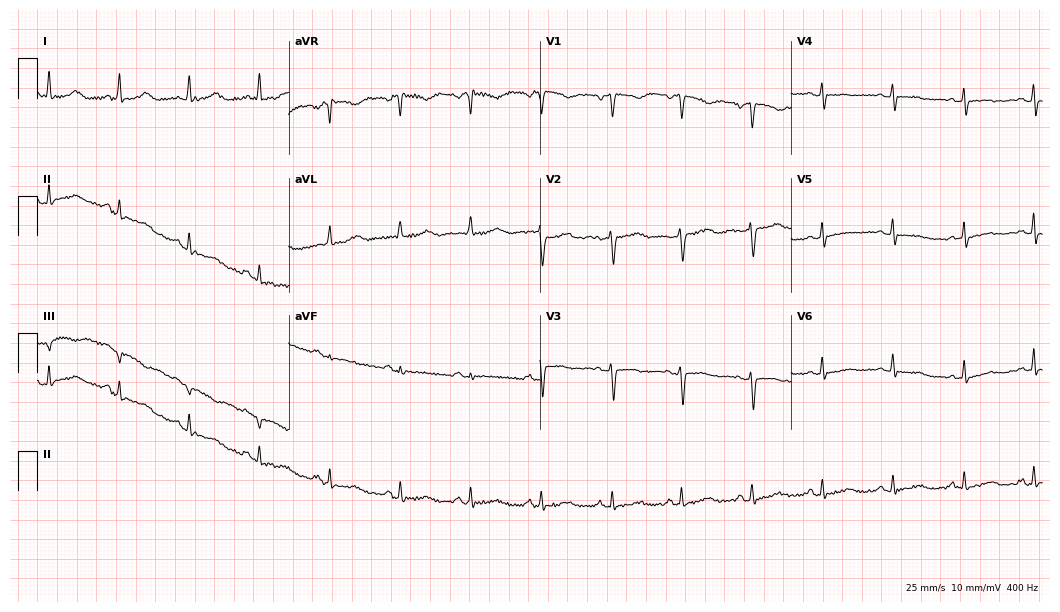
12-lead ECG from a female, 37 years old (10.2-second recording at 400 Hz). No first-degree AV block, right bundle branch block, left bundle branch block, sinus bradycardia, atrial fibrillation or sinus tachycardia recorded for this tracing. Findings outside these six are not listed.